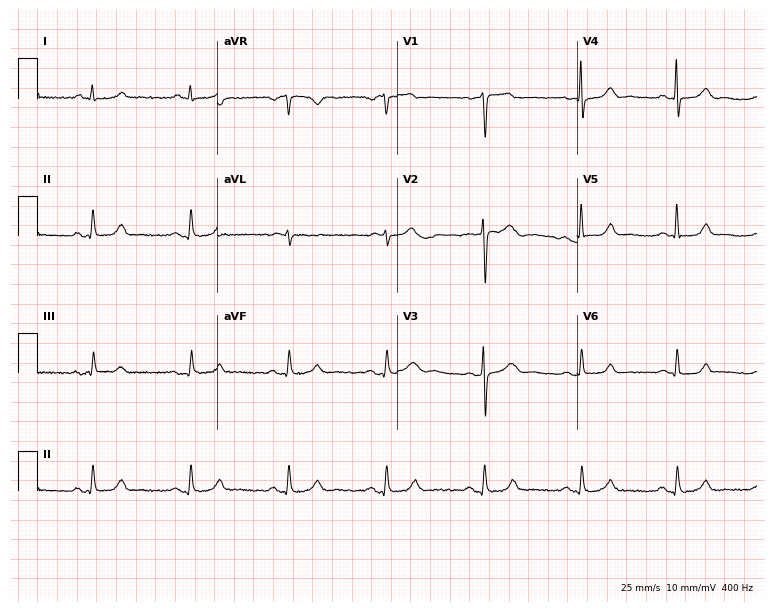
Resting 12-lead electrocardiogram (7.3-second recording at 400 Hz). Patient: a man, 69 years old. Read as a normal ECG.